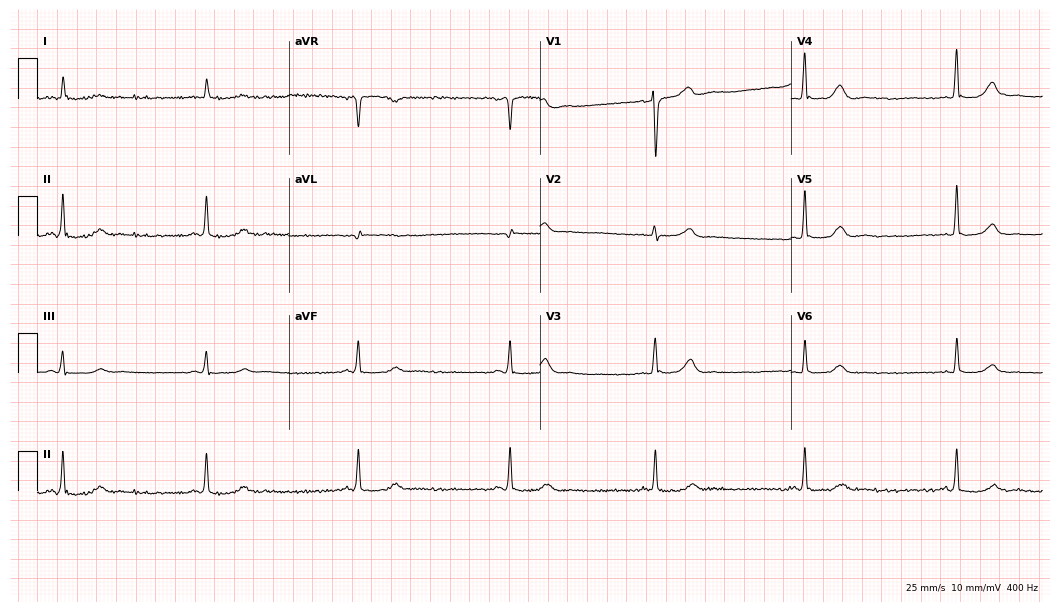
12-lead ECG from a 54-year-old man. Screened for six findings — first-degree AV block, right bundle branch block, left bundle branch block, sinus bradycardia, atrial fibrillation, sinus tachycardia — none is recorded. Only these six findings were labelled.